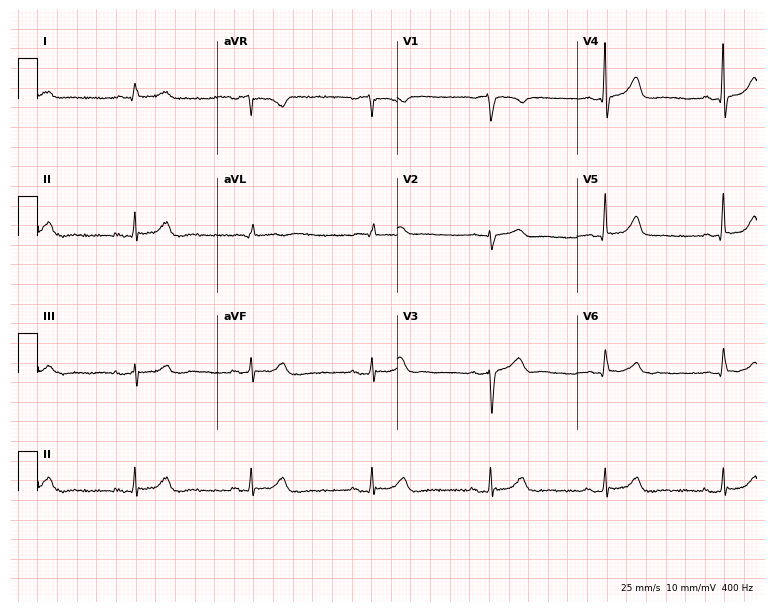
ECG — a male patient, 62 years old. Findings include sinus bradycardia (a sinus rate of 50 beats per minute or less).